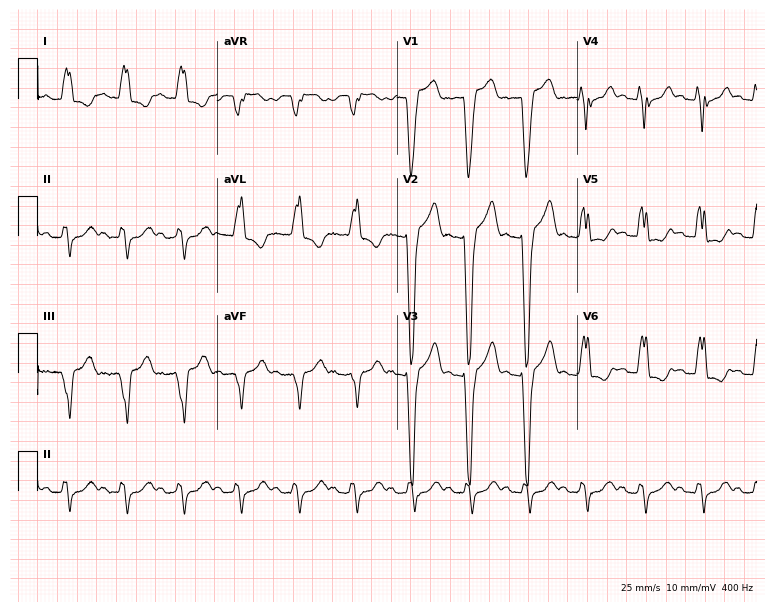
ECG (7.3-second recording at 400 Hz) — a female, 84 years old. Findings include left bundle branch block (LBBB), sinus tachycardia (a sinus rate of 100 beats per minute or more).